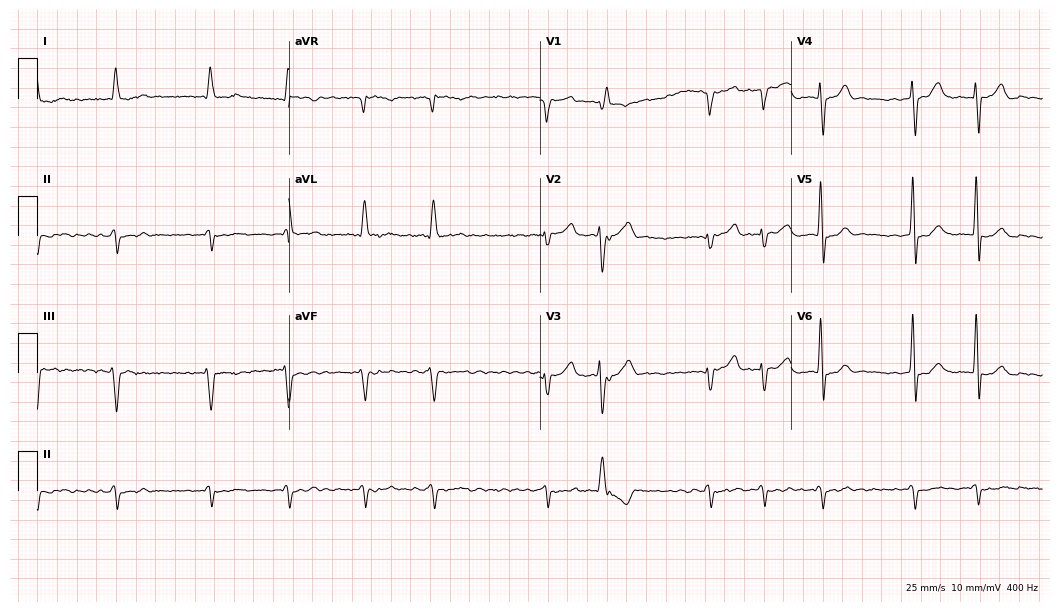
Standard 12-lead ECG recorded from a male patient, 83 years old (10.2-second recording at 400 Hz). The tracing shows atrial fibrillation (AF).